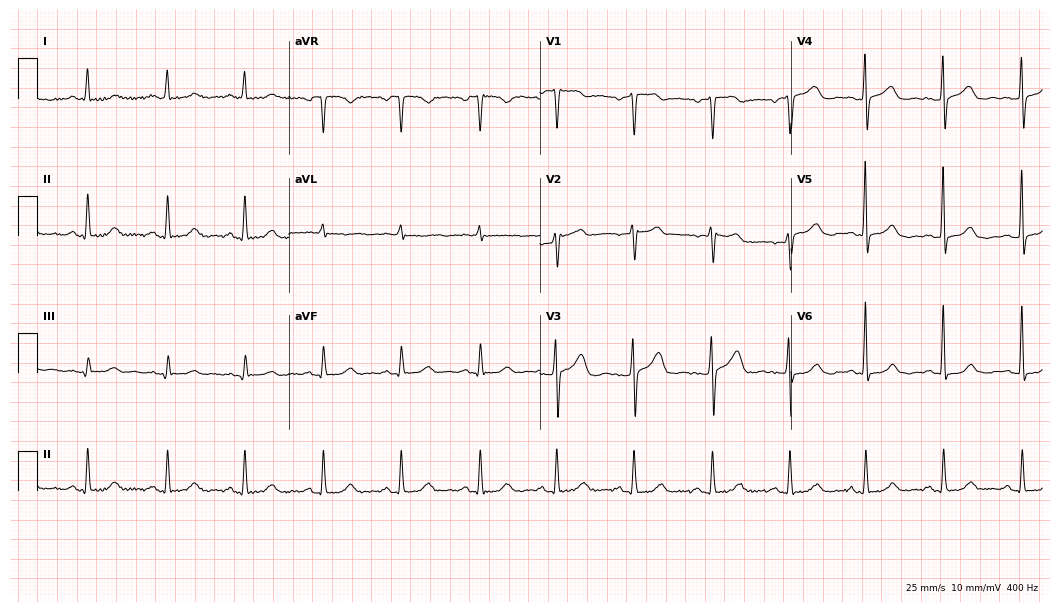
12-lead ECG from a 74-year-old female patient (10.2-second recording at 400 Hz). No first-degree AV block, right bundle branch block, left bundle branch block, sinus bradycardia, atrial fibrillation or sinus tachycardia recorded for this tracing. Only these six findings were labelled.